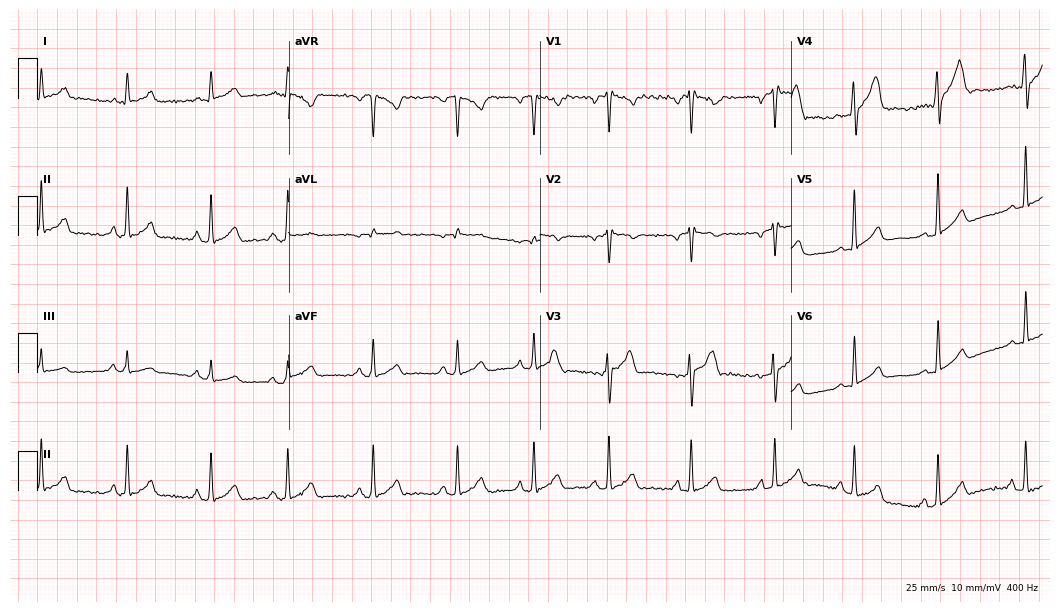
Electrocardiogram (10.2-second recording at 400 Hz), a male patient, 21 years old. Of the six screened findings (first-degree AV block, right bundle branch block, left bundle branch block, sinus bradycardia, atrial fibrillation, sinus tachycardia), none is recorded.